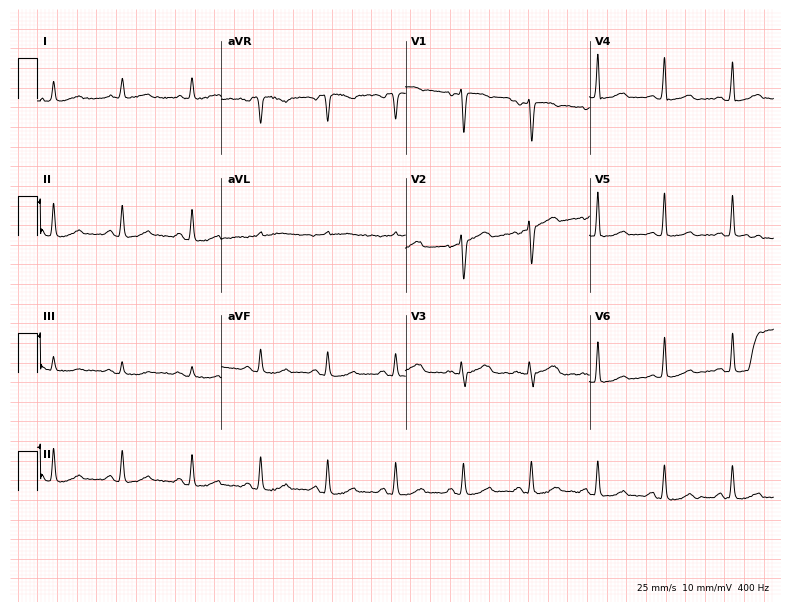
12-lead ECG from a 76-year-old female (7.5-second recording at 400 Hz). Recorded interpretation: within normal limits.